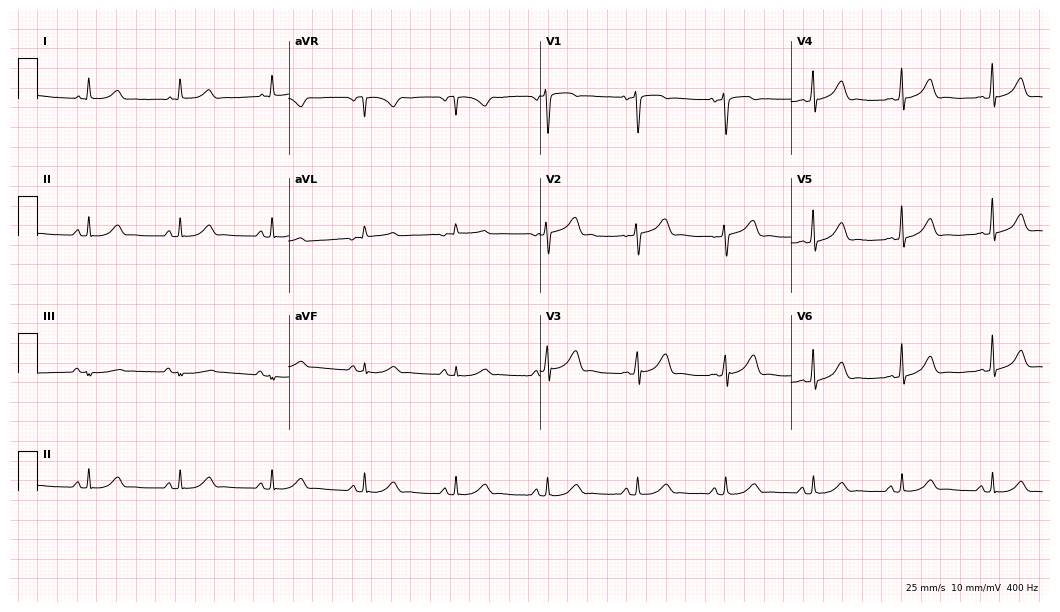
Standard 12-lead ECG recorded from a 47-year-old female patient (10.2-second recording at 400 Hz). Read as a normal ECG.